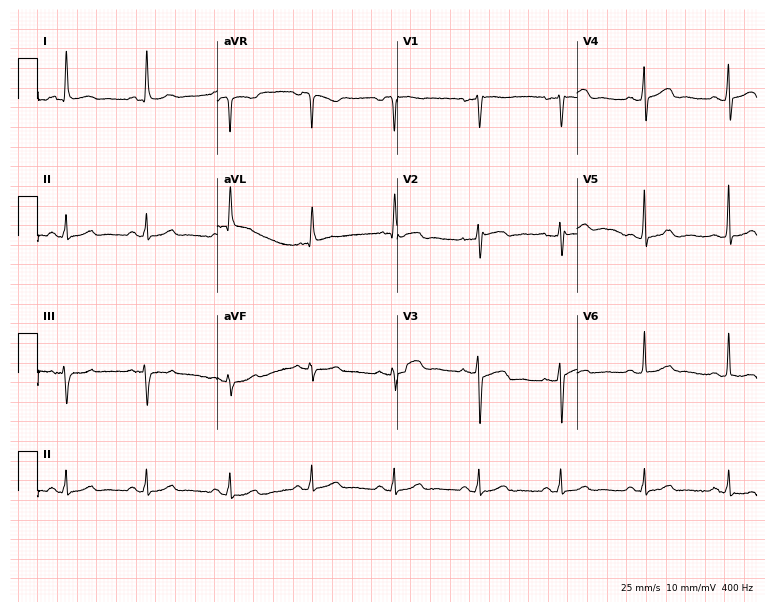
12-lead ECG (7.3-second recording at 400 Hz) from a 48-year-old female patient. Labelled as a normal ECG.